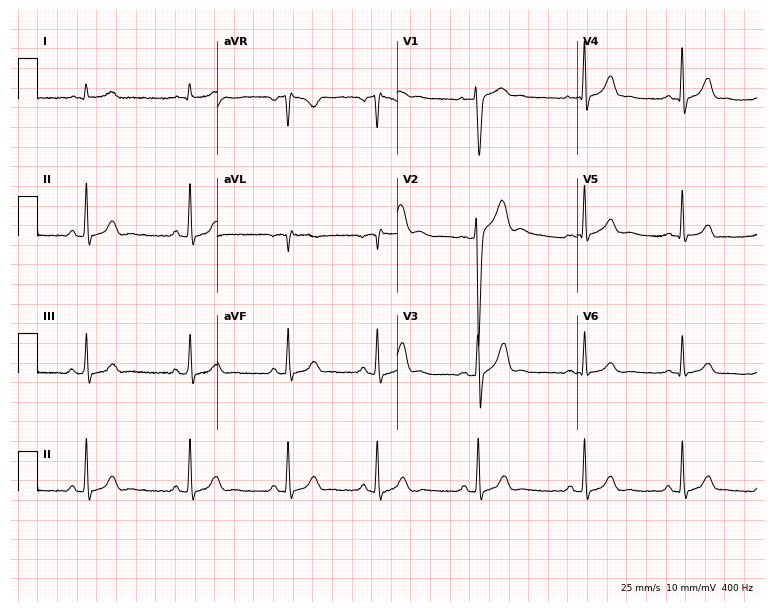
Standard 12-lead ECG recorded from a 23-year-old man. None of these six findings is recorded: first-degree AV block, right bundle branch block, left bundle branch block, sinus bradycardia, atrial fibrillation, sinus tachycardia.